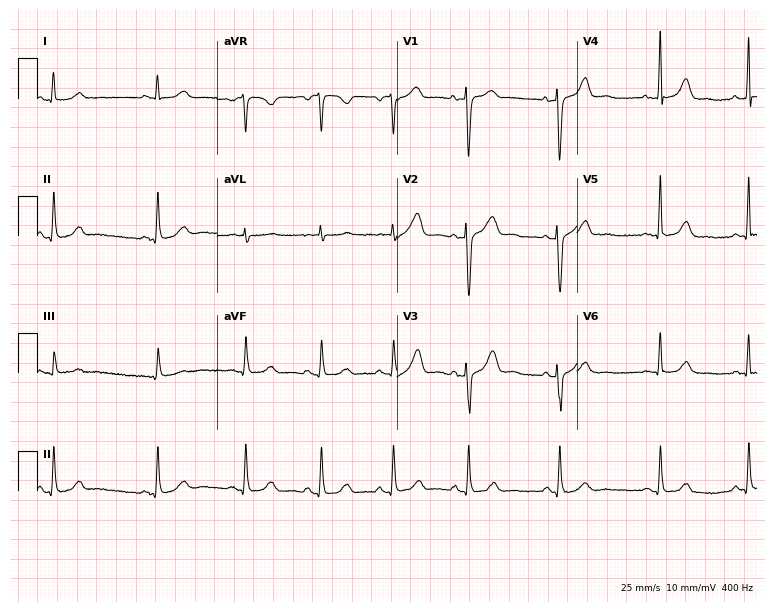
ECG — a 64-year-old female patient. Screened for six findings — first-degree AV block, right bundle branch block (RBBB), left bundle branch block (LBBB), sinus bradycardia, atrial fibrillation (AF), sinus tachycardia — none is recorded. Other findings, if any, are not listed.